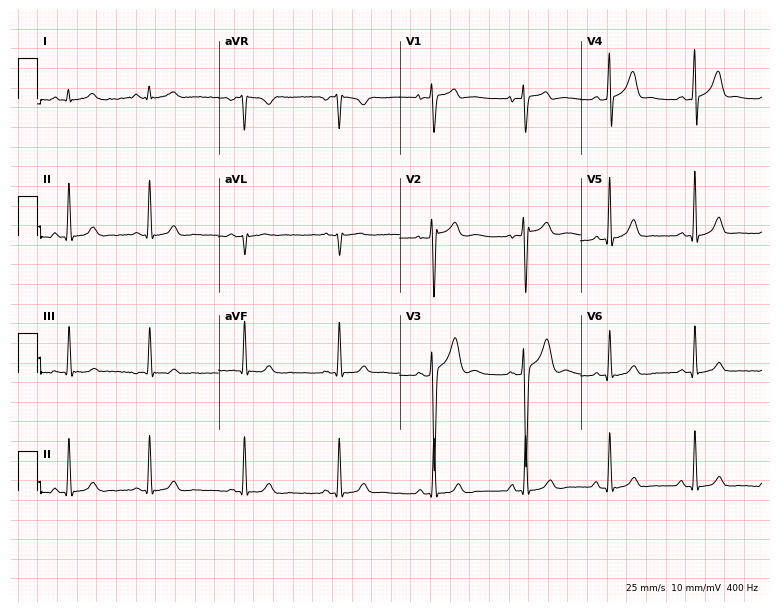
Resting 12-lead electrocardiogram (7.4-second recording at 400 Hz). Patient: a 19-year-old male. Read as a normal ECG.